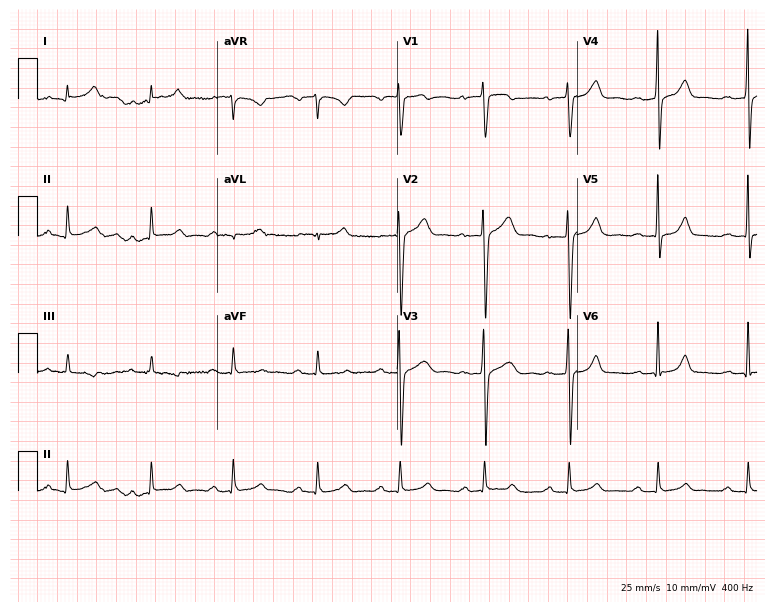
Standard 12-lead ECG recorded from a 37-year-old male patient. Read as a normal ECG.